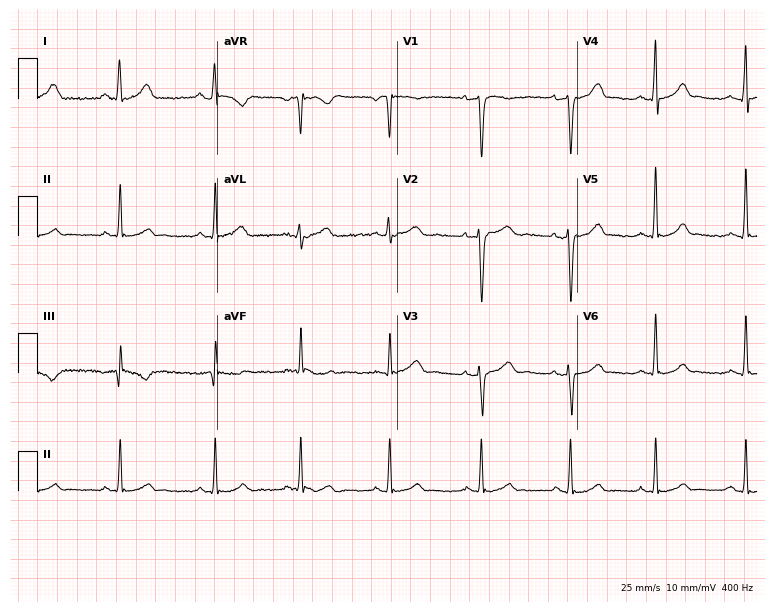
ECG (7.3-second recording at 400 Hz) — a 43-year-old female patient. Labelled as a normal ECG.